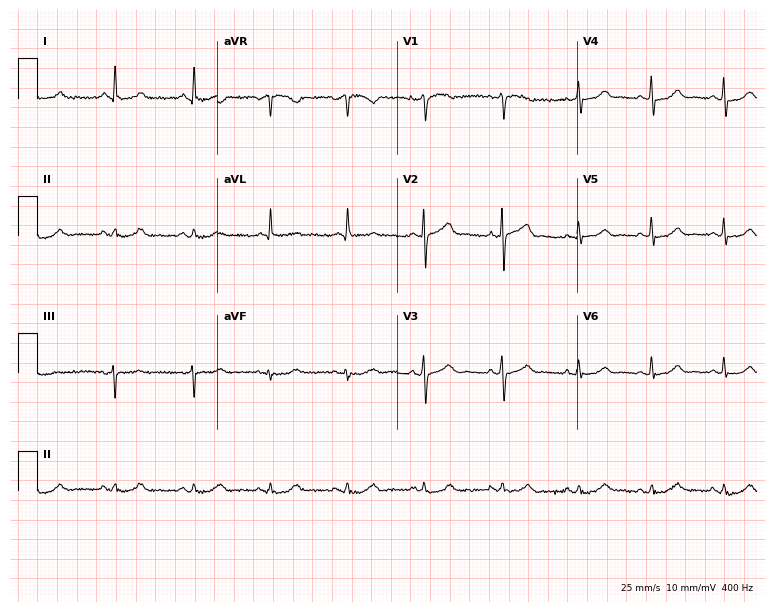
Standard 12-lead ECG recorded from a 53-year-old female. Read as a normal ECG.